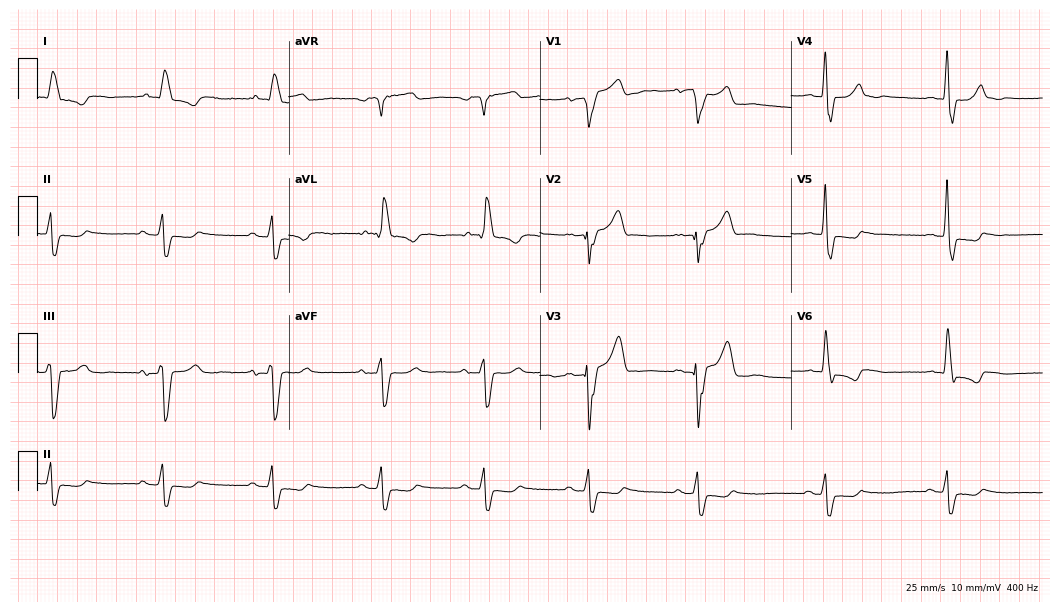
Standard 12-lead ECG recorded from a male, 78 years old (10.2-second recording at 400 Hz). The tracing shows left bundle branch block.